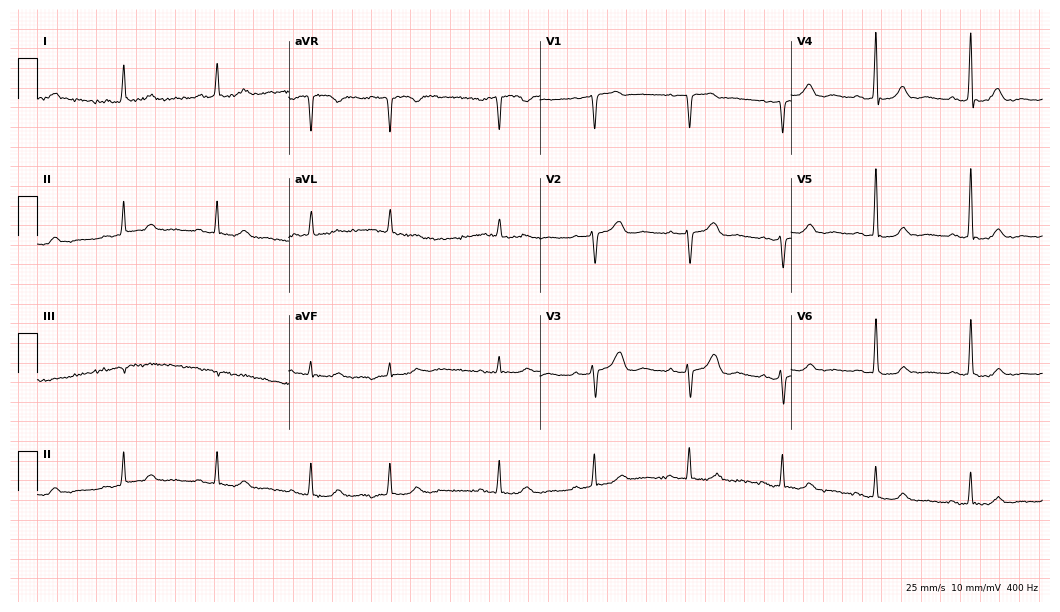
12-lead ECG from a 59-year-old female. Screened for six findings — first-degree AV block, right bundle branch block, left bundle branch block, sinus bradycardia, atrial fibrillation, sinus tachycardia — none is recorded.